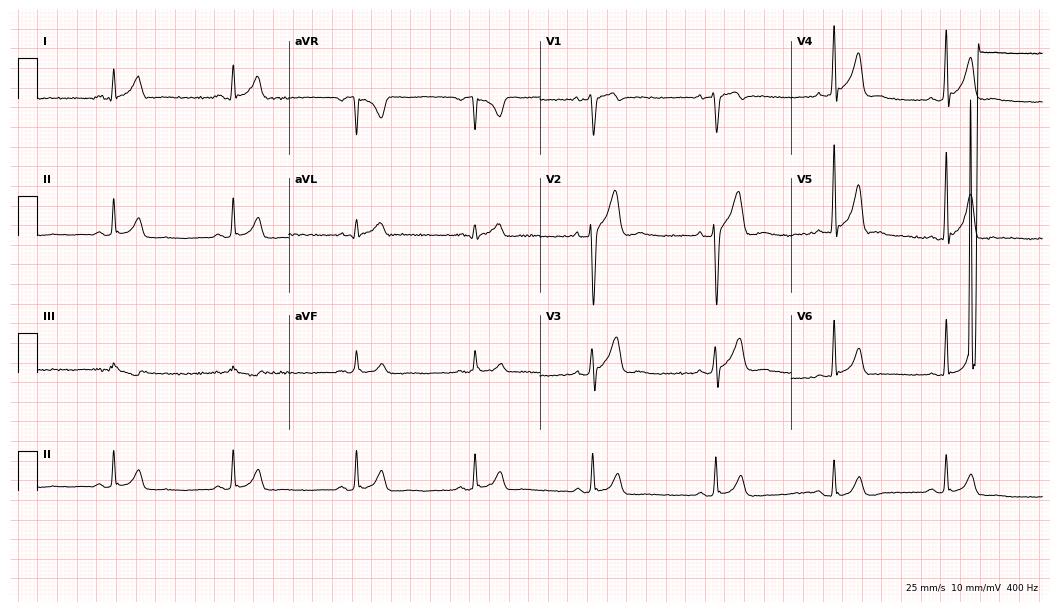
Resting 12-lead electrocardiogram. Patient: a 24-year-old male. The tracing shows sinus bradycardia (a sinus rate of 50 beats per minute or less).